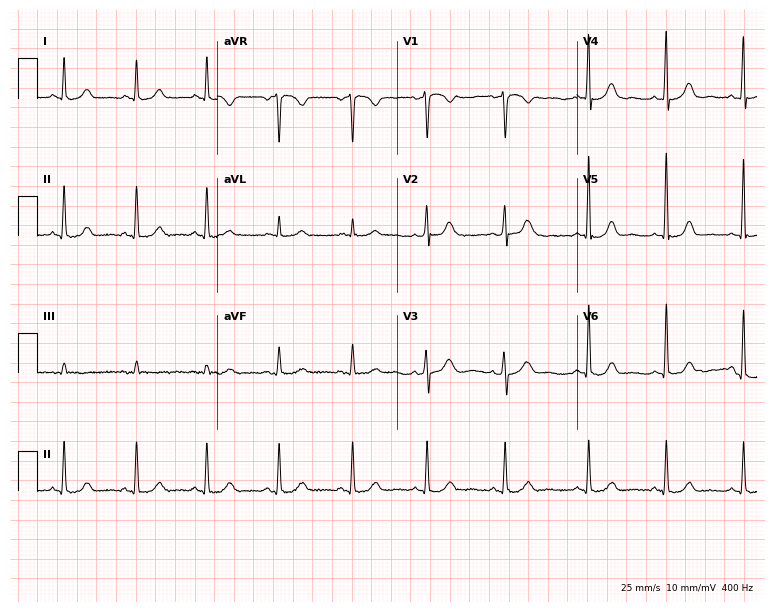
Electrocardiogram, a woman, 50 years old. Overall reading on record: normal ECG.